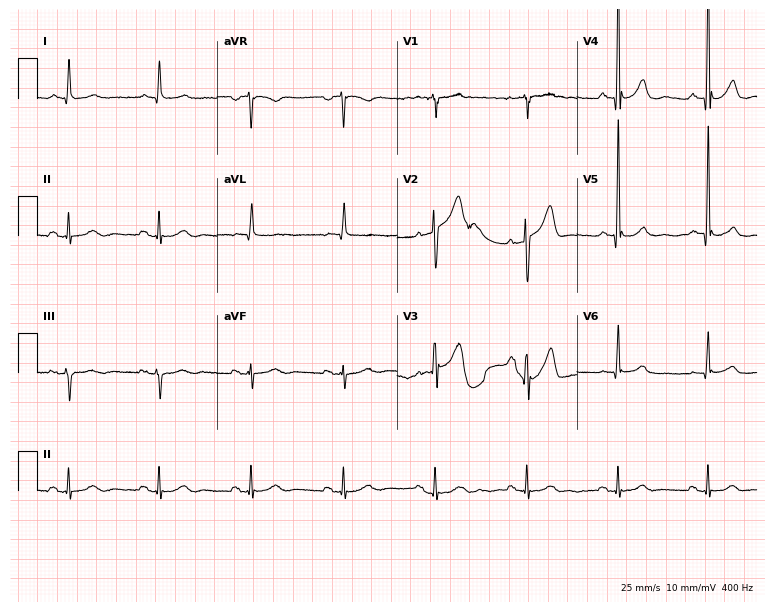
12-lead ECG from a 61-year-old male (7.3-second recording at 400 Hz). Recorded interpretation: within normal limits.